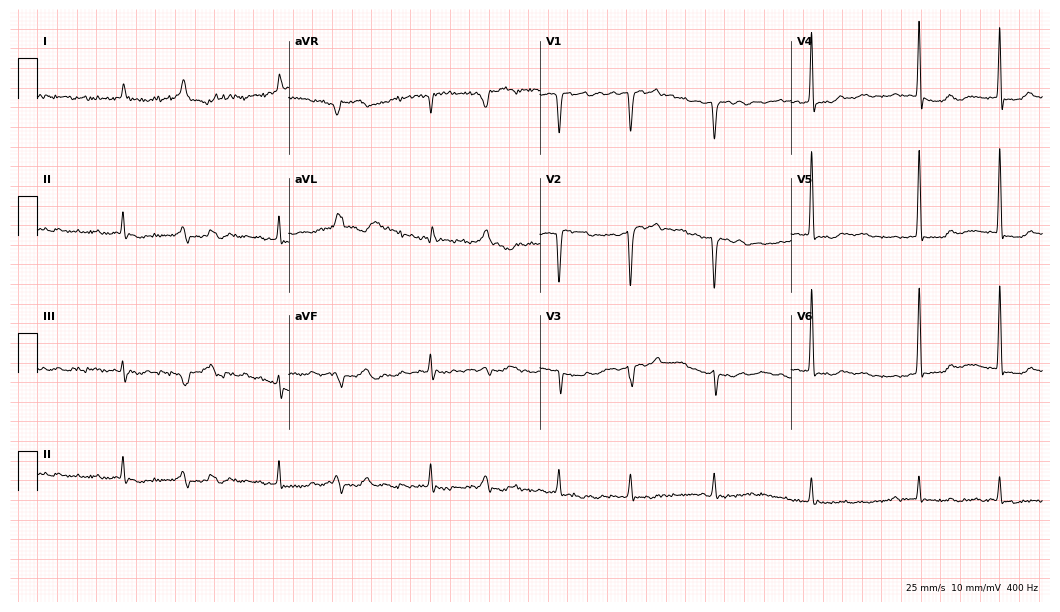
Electrocardiogram, an 81-year-old woman. Interpretation includes atrial fibrillation.